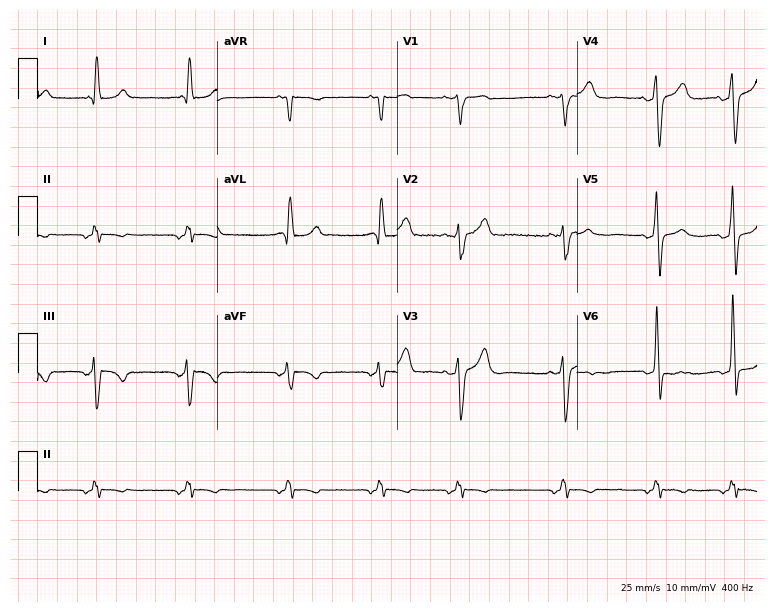
Electrocardiogram, a 61-year-old man. Of the six screened findings (first-degree AV block, right bundle branch block, left bundle branch block, sinus bradycardia, atrial fibrillation, sinus tachycardia), none is recorded.